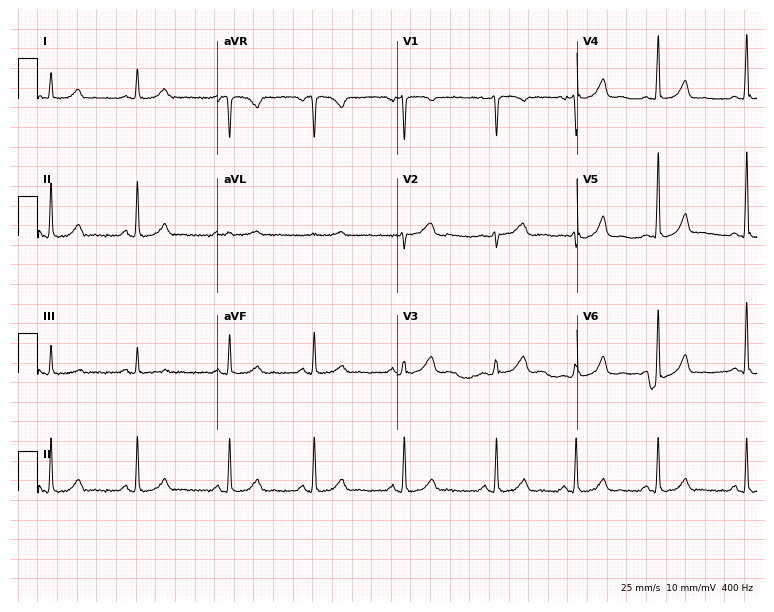
Resting 12-lead electrocardiogram (7.3-second recording at 400 Hz). Patient: a female, 38 years old. None of these six findings is recorded: first-degree AV block, right bundle branch block, left bundle branch block, sinus bradycardia, atrial fibrillation, sinus tachycardia.